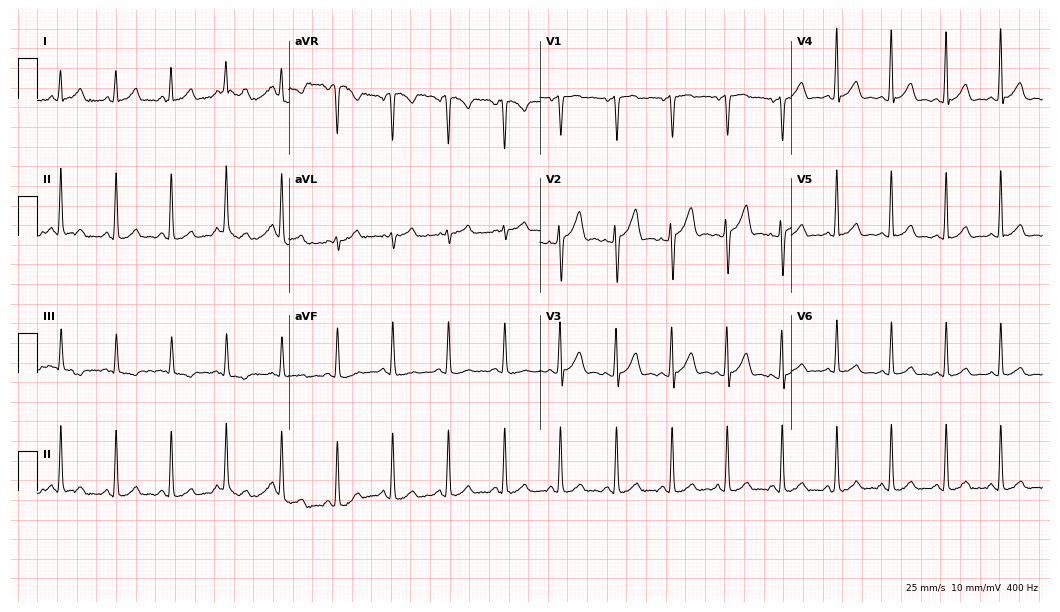
12-lead ECG (10.2-second recording at 400 Hz) from a female, 28 years old. Findings include sinus tachycardia (a sinus rate of 100 beats per minute or more).